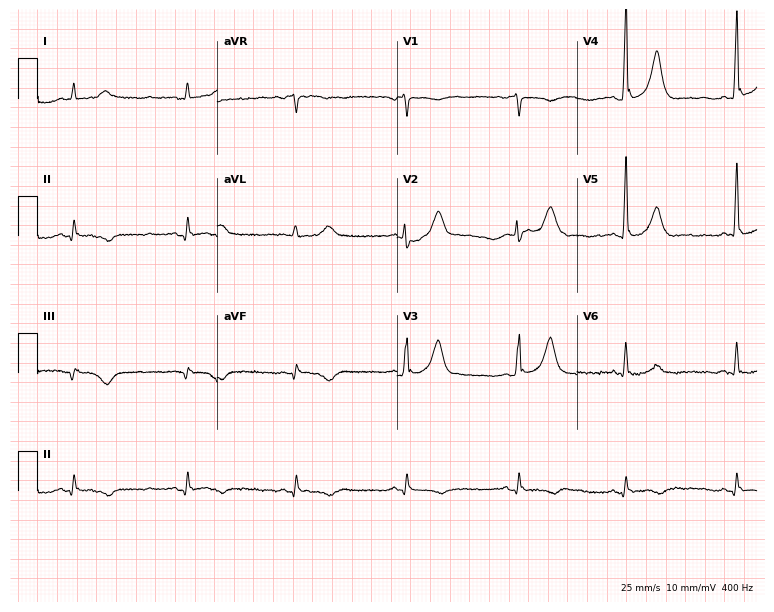
ECG — a male patient, 63 years old. Screened for six findings — first-degree AV block, right bundle branch block, left bundle branch block, sinus bradycardia, atrial fibrillation, sinus tachycardia — none is recorded. Findings outside these six are not listed.